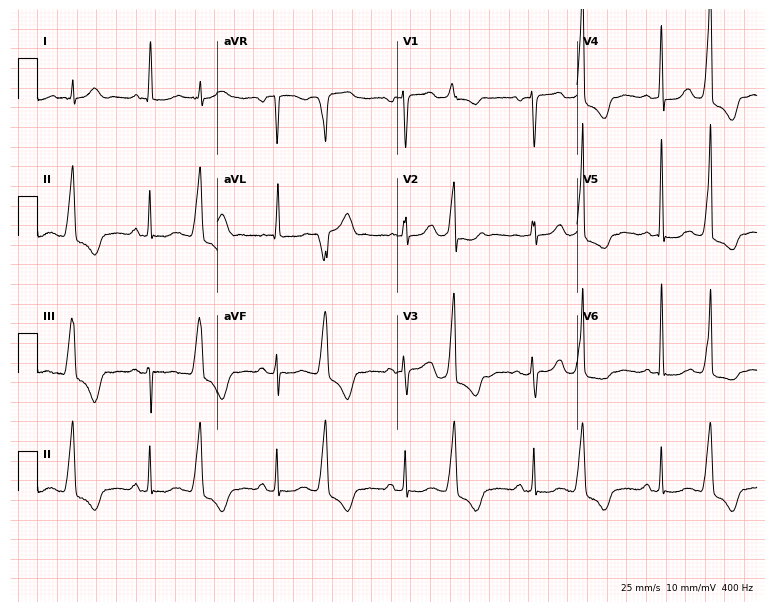
Electrocardiogram, an 80-year-old woman. Of the six screened findings (first-degree AV block, right bundle branch block (RBBB), left bundle branch block (LBBB), sinus bradycardia, atrial fibrillation (AF), sinus tachycardia), none is recorded.